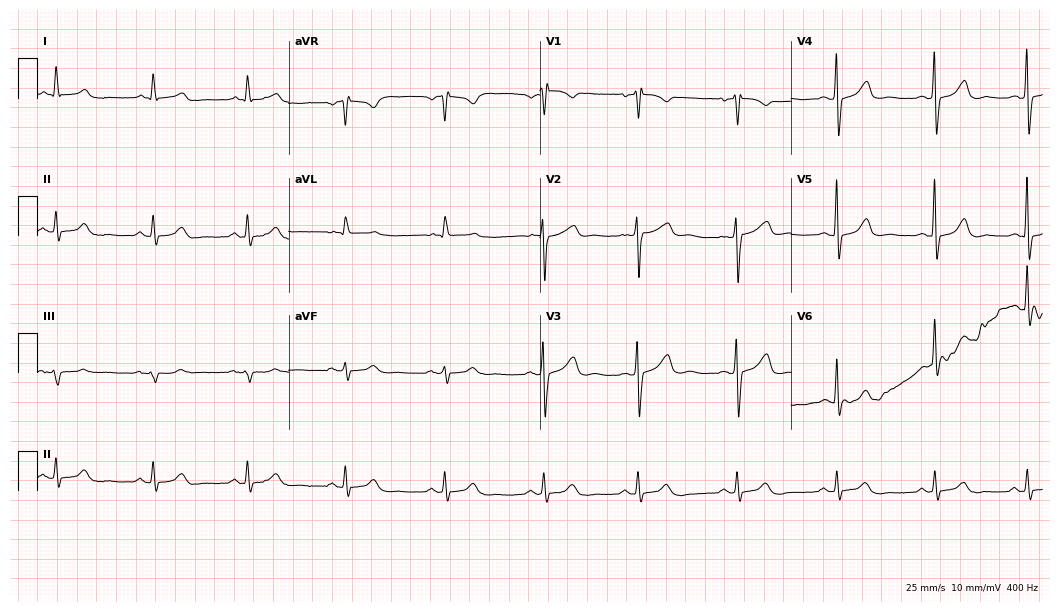
ECG — a female patient, 67 years old. Labelled as a normal ECG.